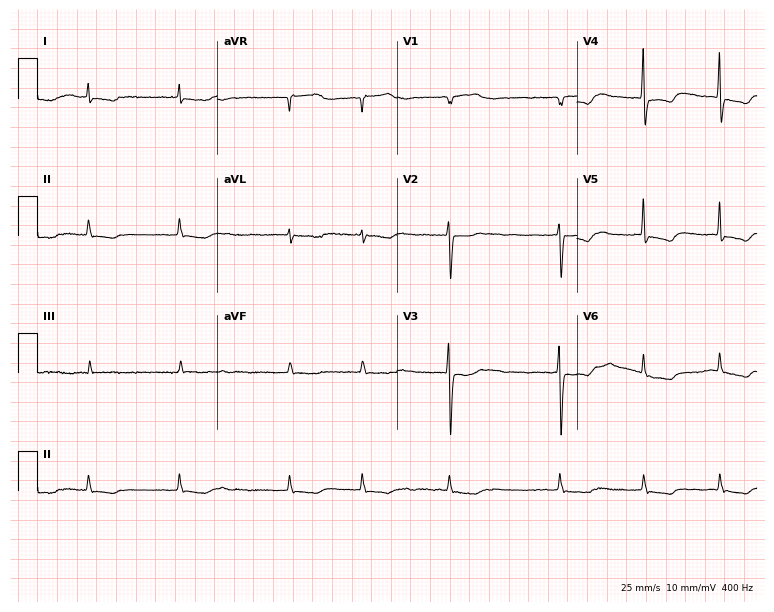
ECG (7.3-second recording at 400 Hz) — an 82-year-old female patient. Screened for six findings — first-degree AV block, right bundle branch block (RBBB), left bundle branch block (LBBB), sinus bradycardia, atrial fibrillation (AF), sinus tachycardia — none is recorded. Findings outside these six are not listed.